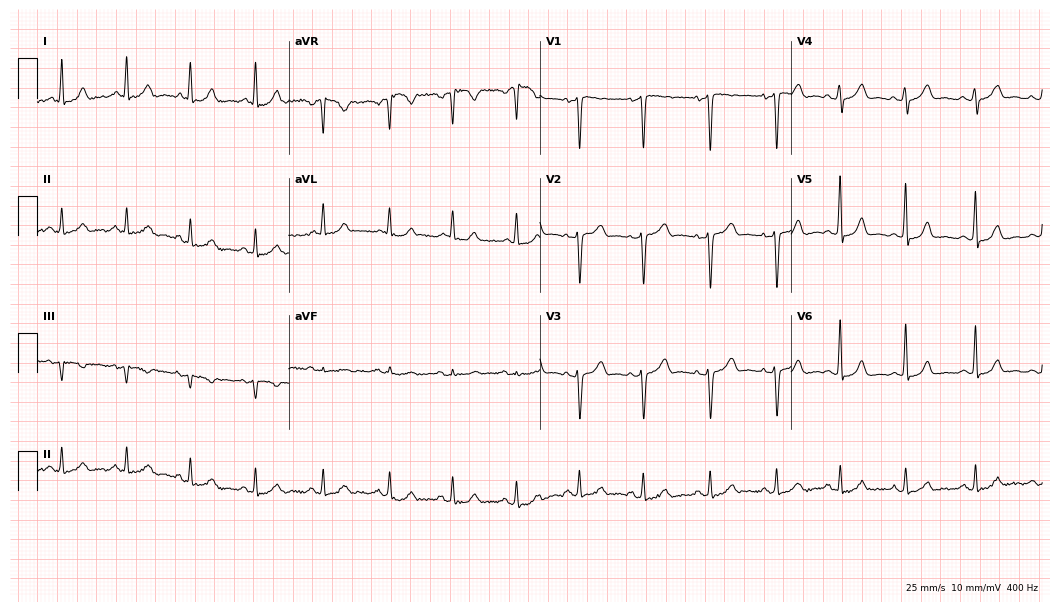
Electrocardiogram (10.2-second recording at 400 Hz), a woman, 48 years old. Overall reading on record: normal ECG.